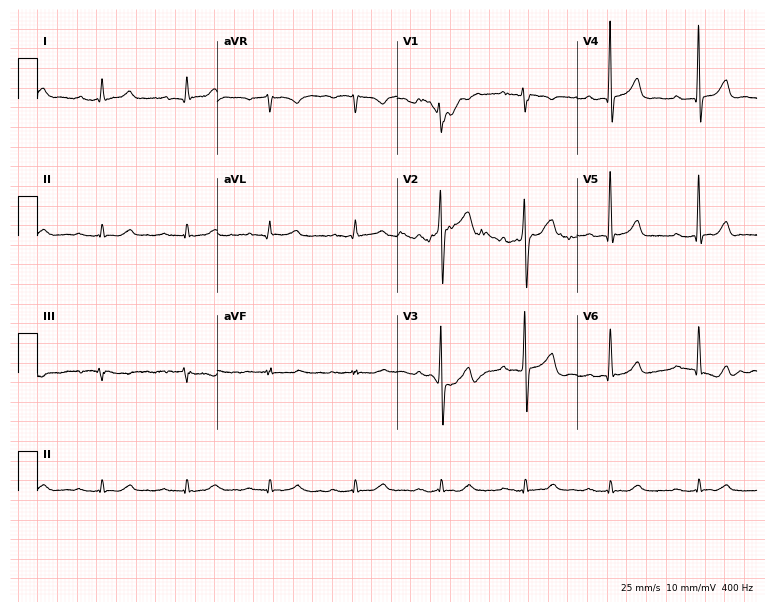
12-lead ECG (7.3-second recording at 400 Hz) from a 59-year-old male patient. Findings include first-degree AV block.